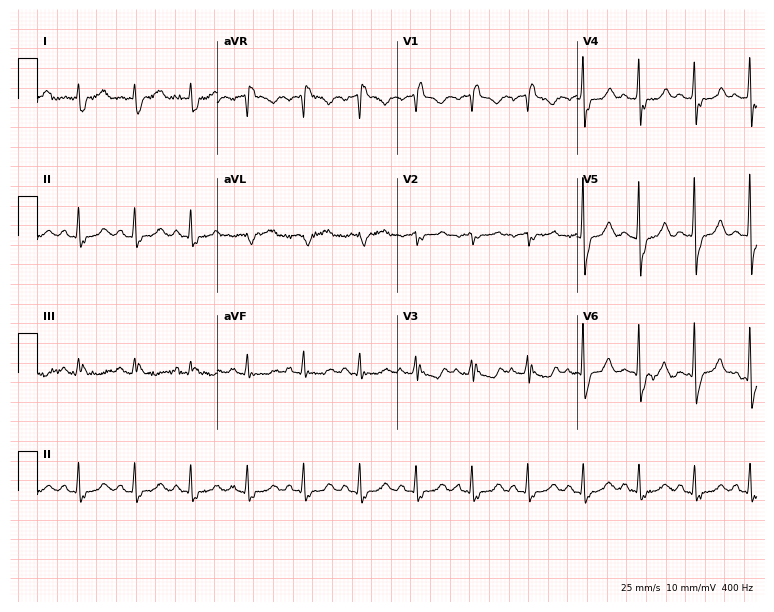
Standard 12-lead ECG recorded from a 74-year-old female (7.3-second recording at 400 Hz). None of these six findings is recorded: first-degree AV block, right bundle branch block (RBBB), left bundle branch block (LBBB), sinus bradycardia, atrial fibrillation (AF), sinus tachycardia. Findings outside these six are not listed.